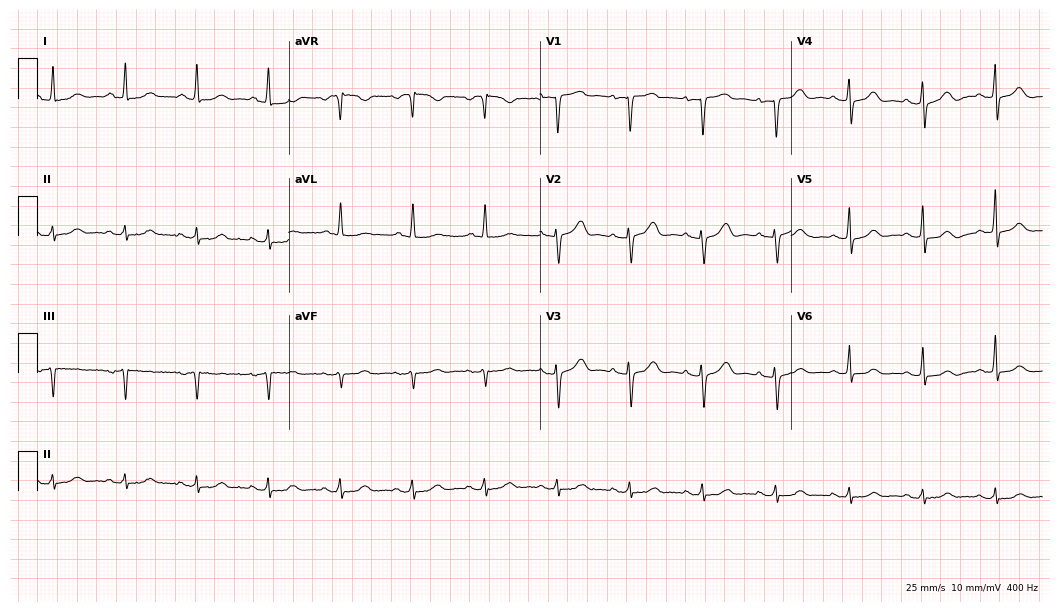
Electrocardiogram, a woman, 74 years old. Overall reading on record: normal ECG.